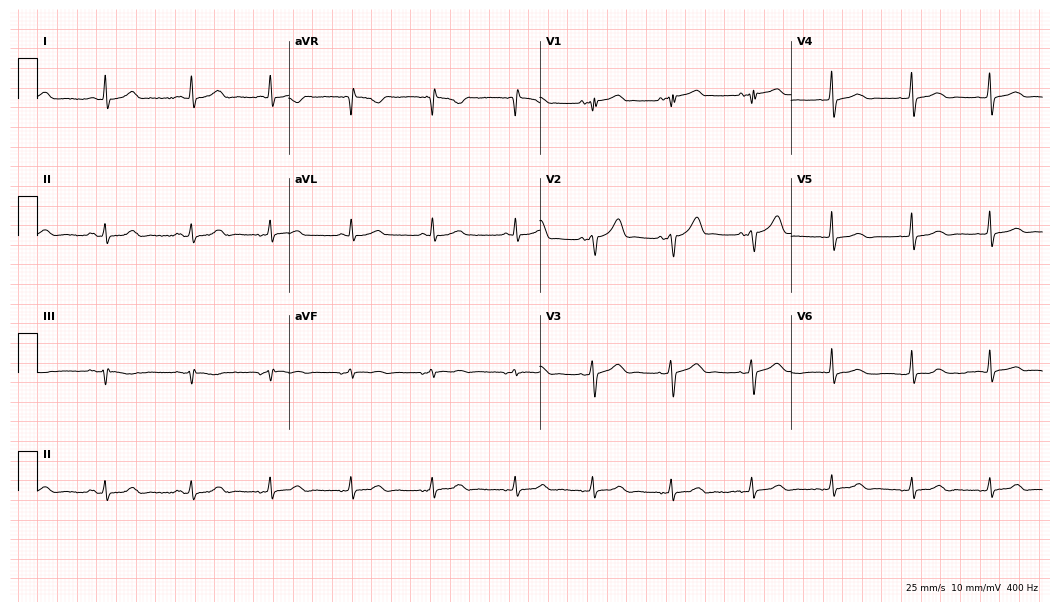
Standard 12-lead ECG recorded from an 82-year-old female patient (10.2-second recording at 400 Hz). None of these six findings is recorded: first-degree AV block, right bundle branch block, left bundle branch block, sinus bradycardia, atrial fibrillation, sinus tachycardia.